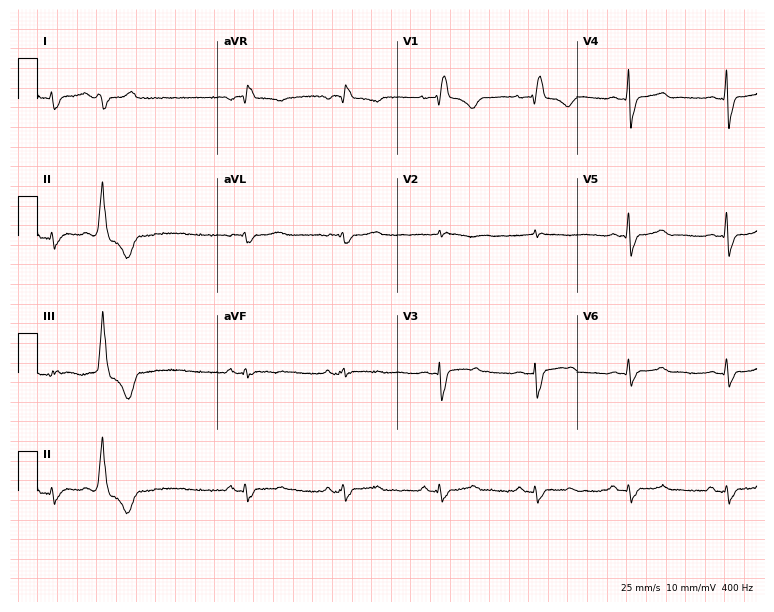
ECG (7.3-second recording at 400 Hz) — a 43-year-old male patient. Findings include right bundle branch block (RBBB).